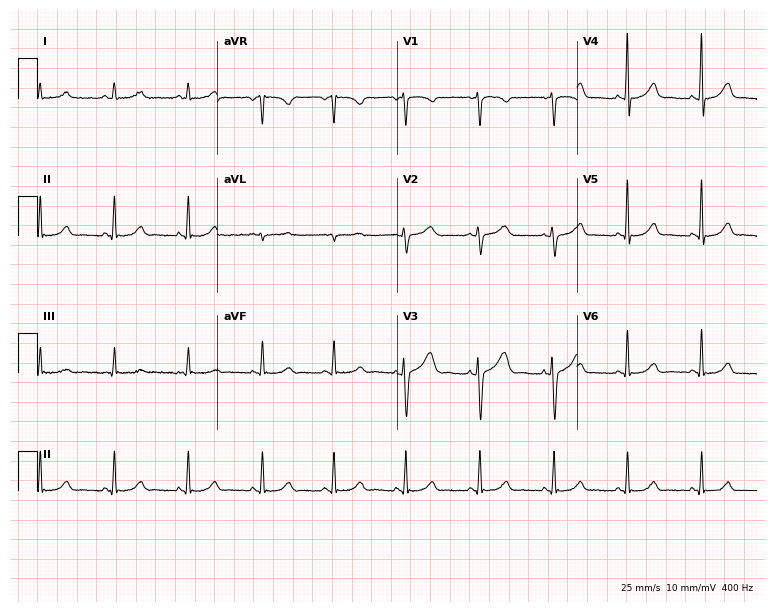
ECG — a female, 38 years old. Labelled as a normal ECG.